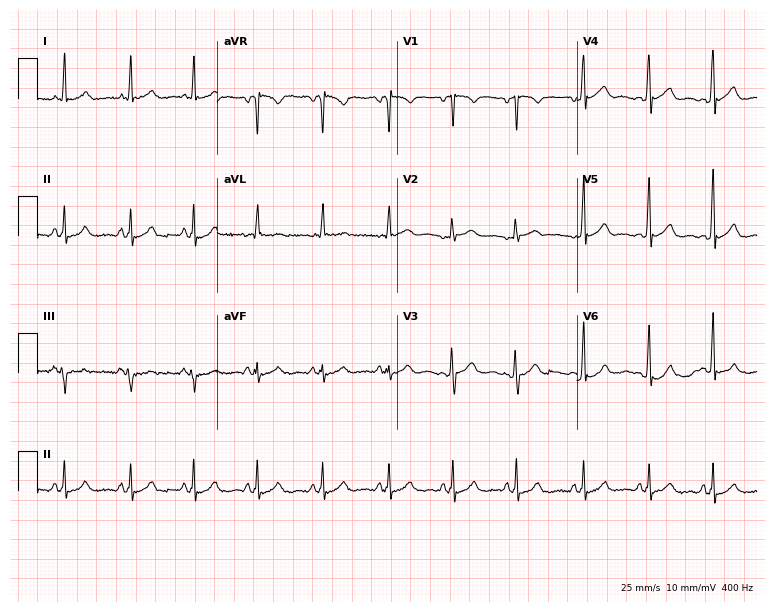
12-lead ECG from a 40-year-old female patient (7.3-second recording at 400 Hz). No first-degree AV block, right bundle branch block (RBBB), left bundle branch block (LBBB), sinus bradycardia, atrial fibrillation (AF) or sinus tachycardia recorded for this tracing. Only these six findings were labelled.